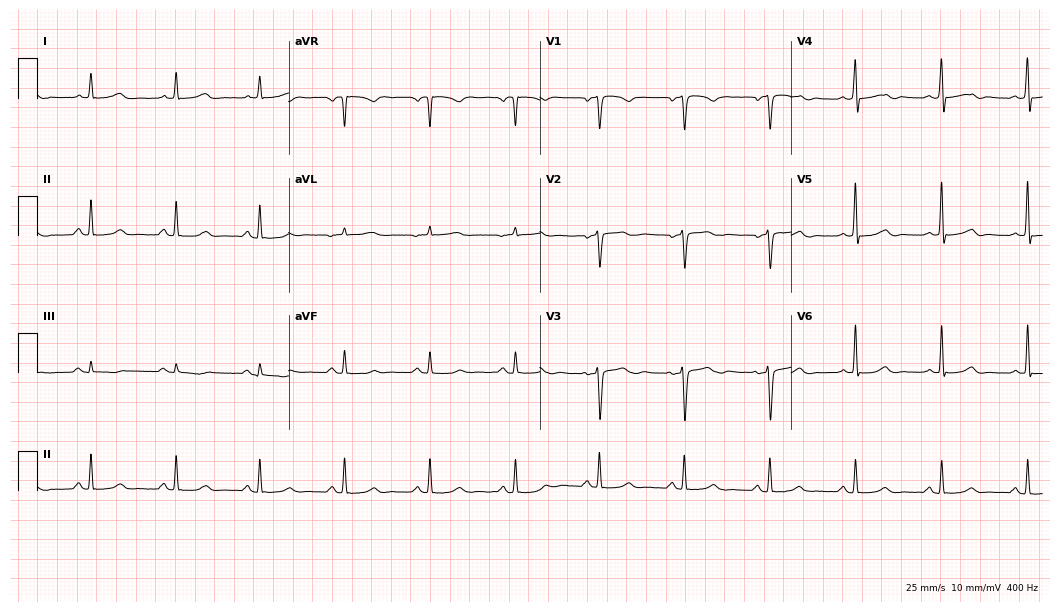
Resting 12-lead electrocardiogram (10.2-second recording at 400 Hz). Patient: a woman, 50 years old. Read as a normal ECG.